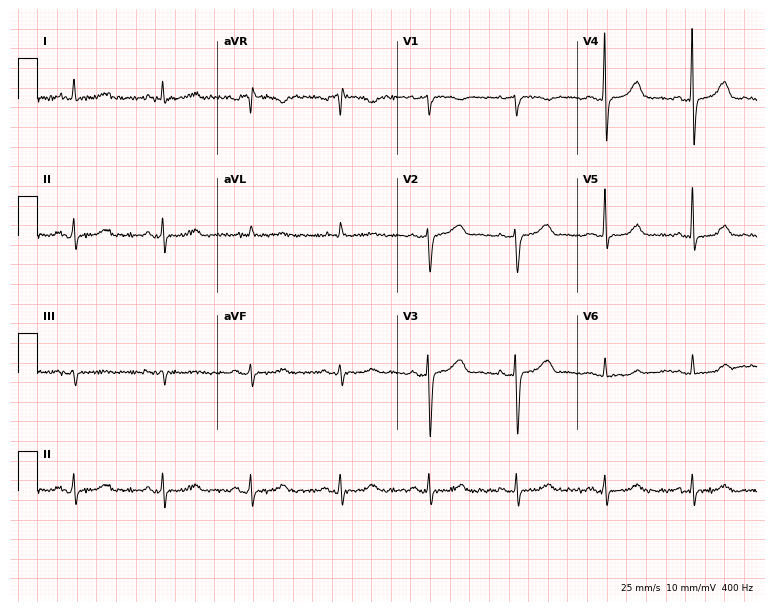
12-lead ECG from a female, 75 years old. Labelled as a normal ECG.